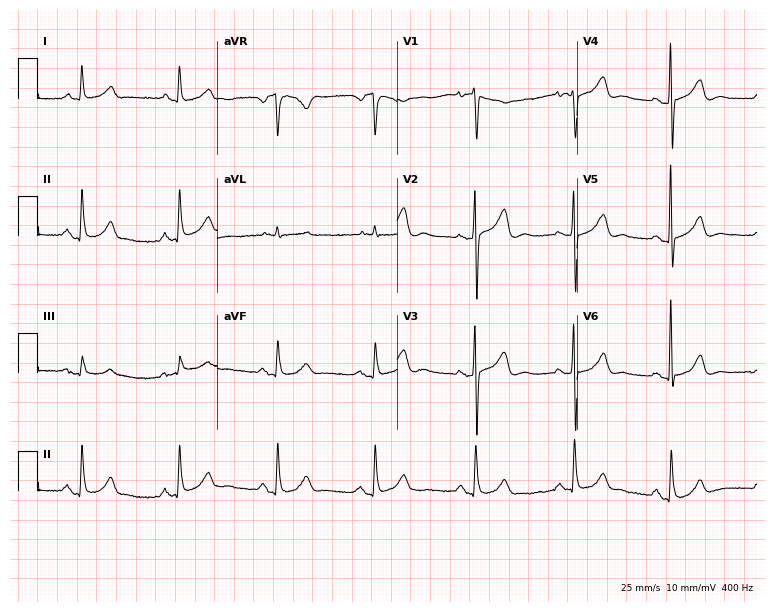
Resting 12-lead electrocardiogram (7.3-second recording at 400 Hz). Patient: an 81-year-old female. None of these six findings is recorded: first-degree AV block, right bundle branch block, left bundle branch block, sinus bradycardia, atrial fibrillation, sinus tachycardia. Only these six findings were labelled.